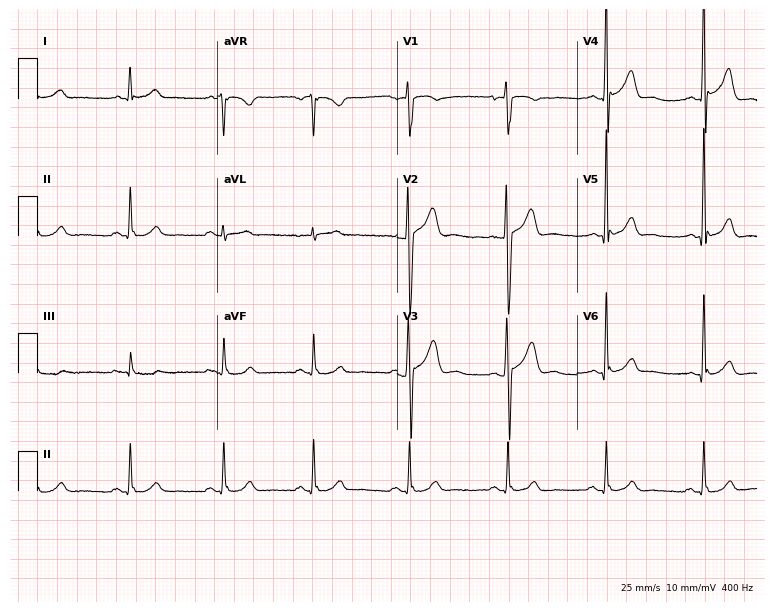
ECG (7.3-second recording at 400 Hz) — a man, 46 years old. Labelled as a normal ECG.